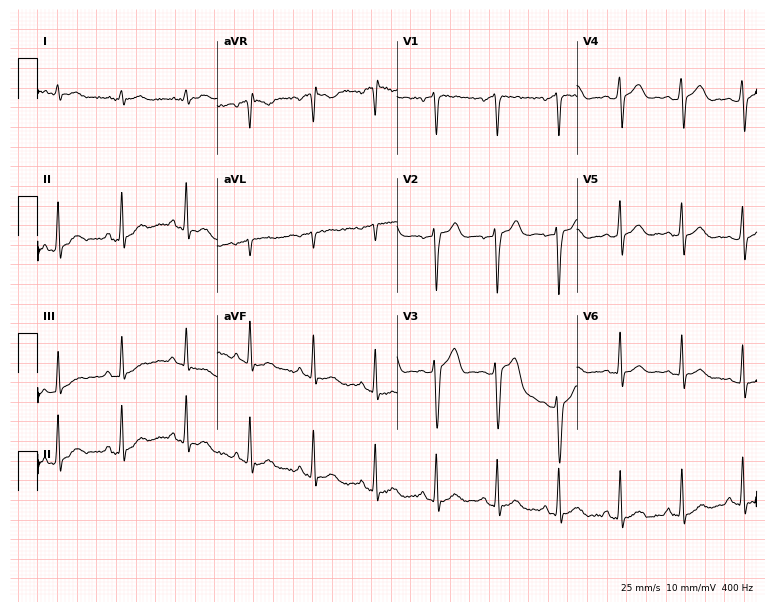
Resting 12-lead electrocardiogram. Patient: a male, 22 years old. None of these six findings is recorded: first-degree AV block, right bundle branch block, left bundle branch block, sinus bradycardia, atrial fibrillation, sinus tachycardia.